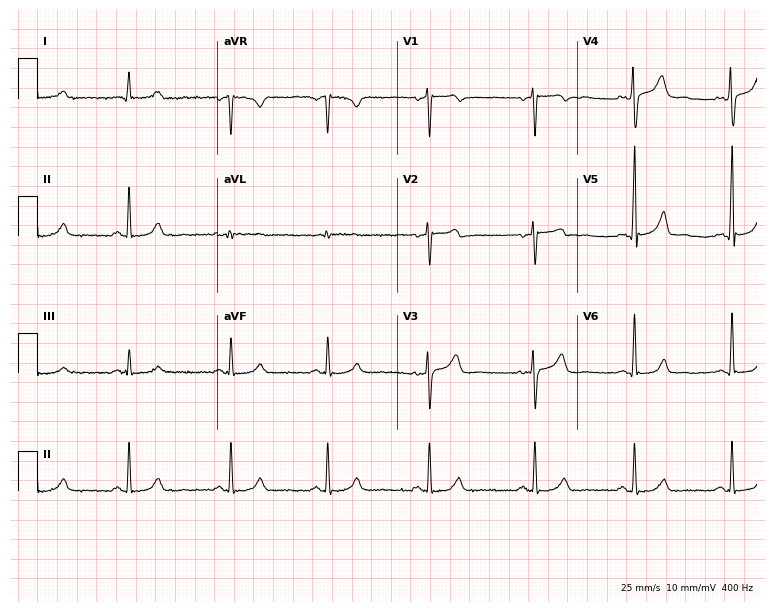
12-lead ECG from a male, 58 years old. No first-degree AV block, right bundle branch block, left bundle branch block, sinus bradycardia, atrial fibrillation or sinus tachycardia recorded for this tracing. Findings outside these six are not listed.